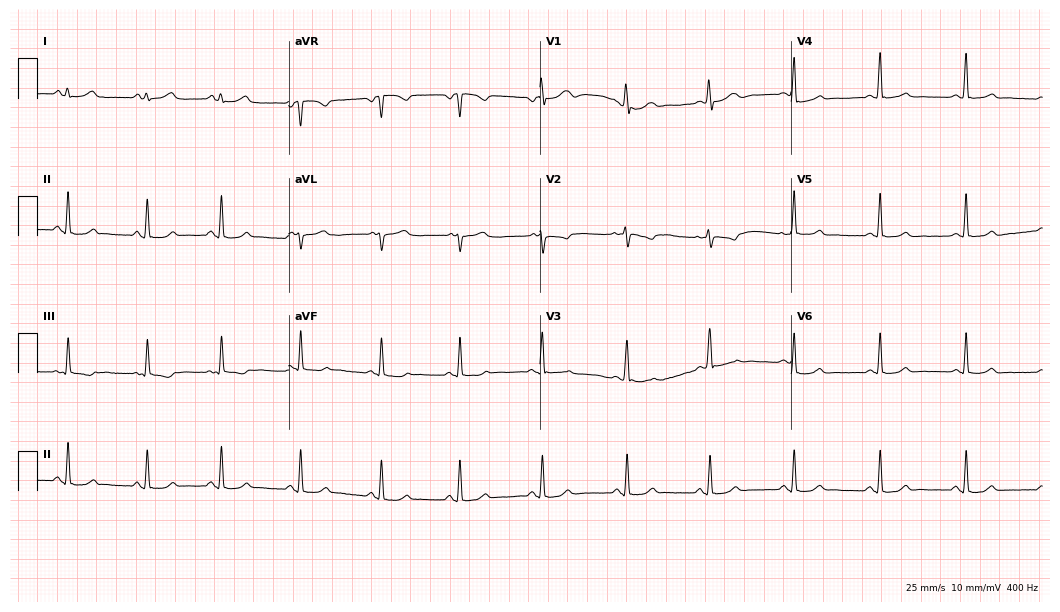
ECG (10.2-second recording at 400 Hz) — a 17-year-old woman. Screened for six findings — first-degree AV block, right bundle branch block (RBBB), left bundle branch block (LBBB), sinus bradycardia, atrial fibrillation (AF), sinus tachycardia — none is recorded. Findings outside these six are not listed.